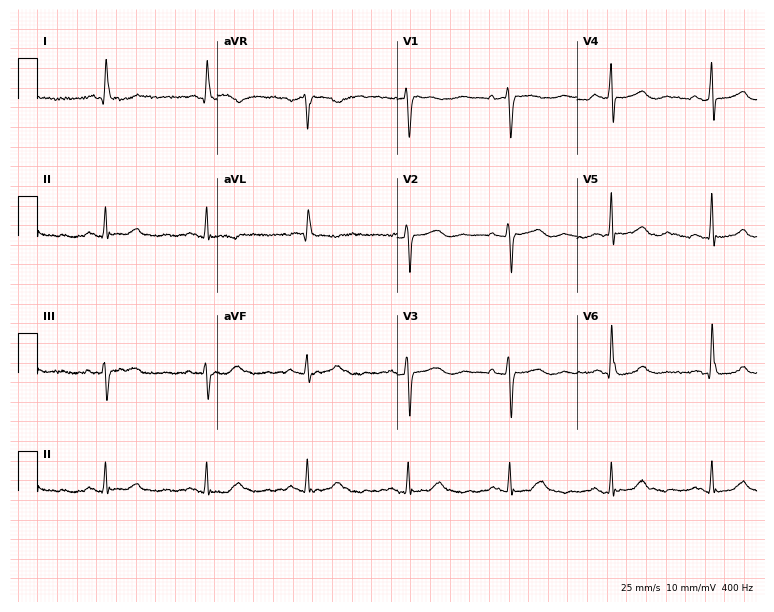
Electrocardiogram, a 66-year-old female. Overall reading on record: normal ECG.